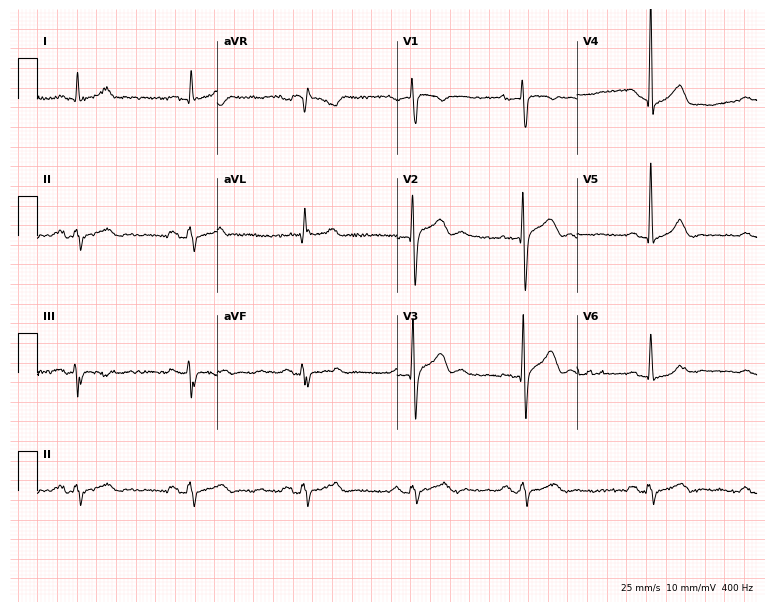
12-lead ECG (7.3-second recording at 400 Hz) from a male patient, 34 years old. Screened for six findings — first-degree AV block, right bundle branch block (RBBB), left bundle branch block (LBBB), sinus bradycardia, atrial fibrillation (AF), sinus tachycardia — none is recorded.